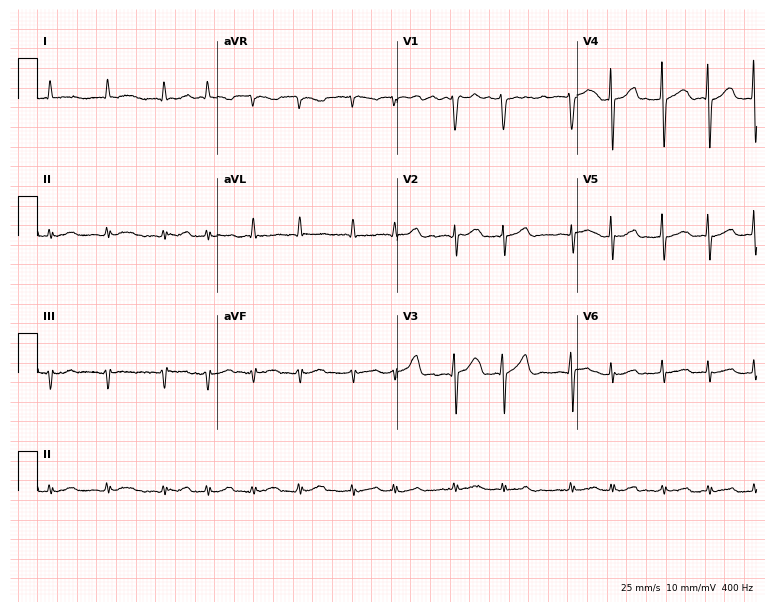
12-lead ECG from an 83-year-old female. Shows atrial fibrillation.